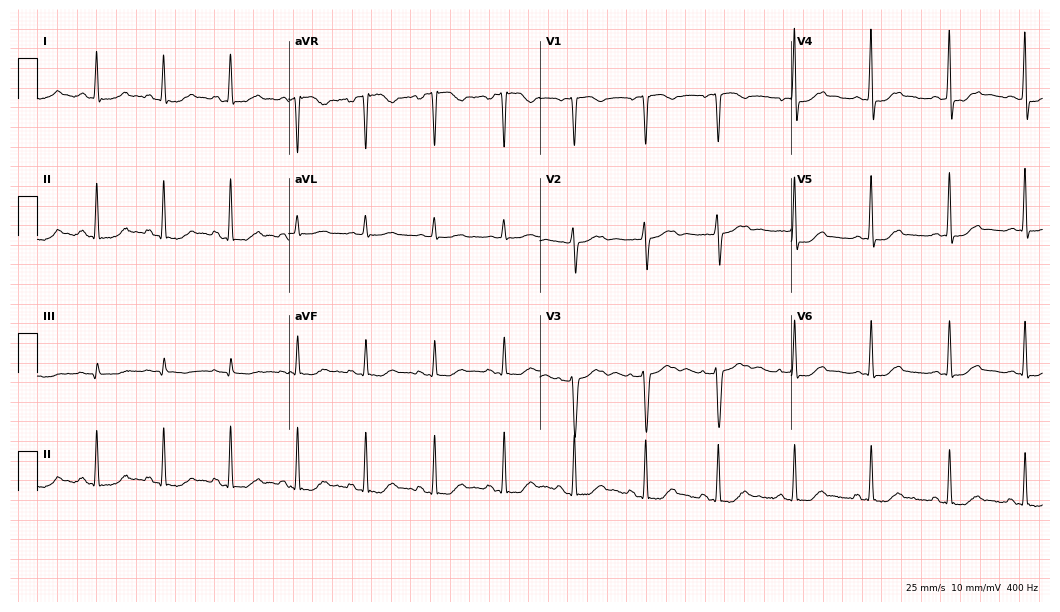
Resting 12-lead electrocardiogram. Patient: a female, 50 years old. Read as a normal ECG.